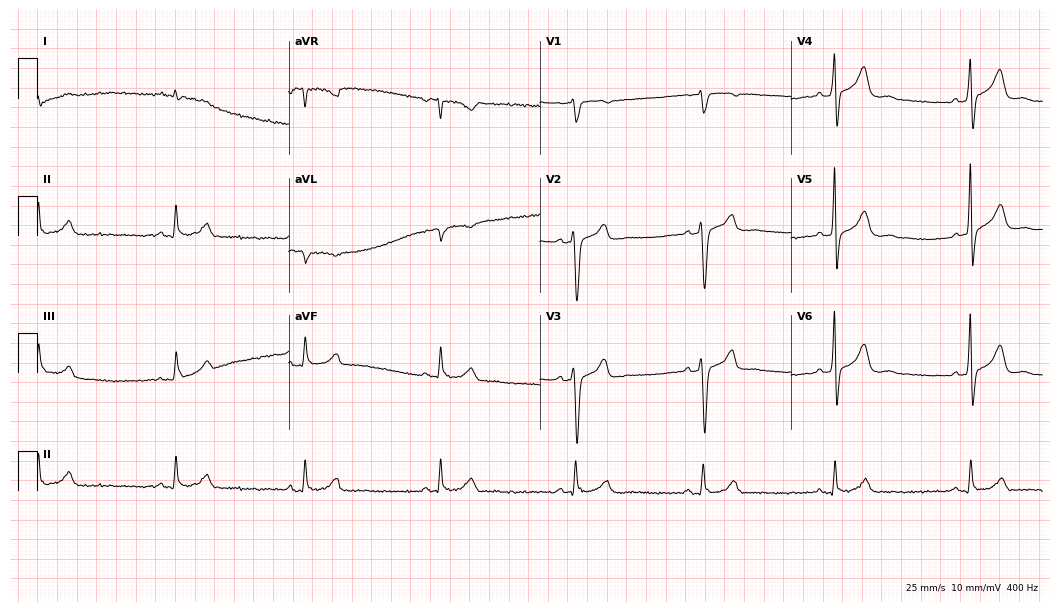
Standard 12-lead ECG recorded from a 41-year-old man (10.2-second recording at 400 Hz). The tracing shows sinus bradycardia (a sinus rate of 50 beats per minute or less).